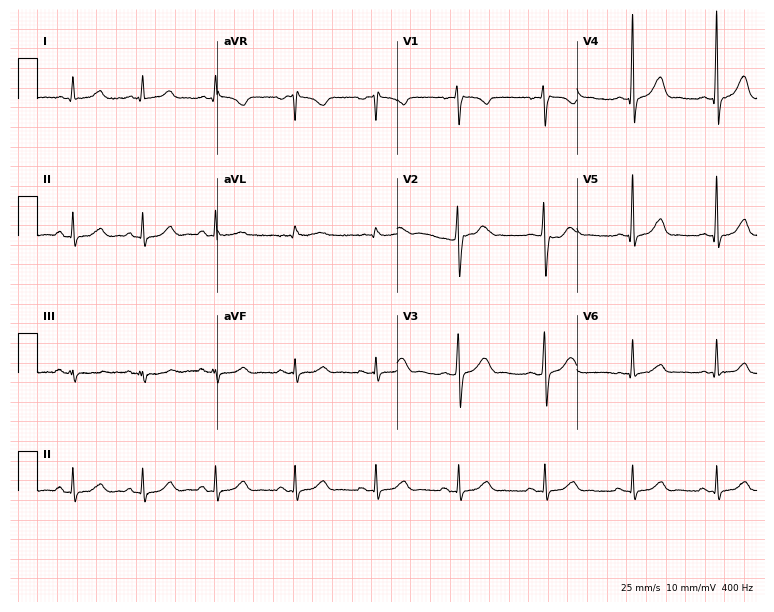
Standard 12-lead ECG recorded from a female, 45 years old (7.3-second recording at 400 Hz). Read as a normal ECG.